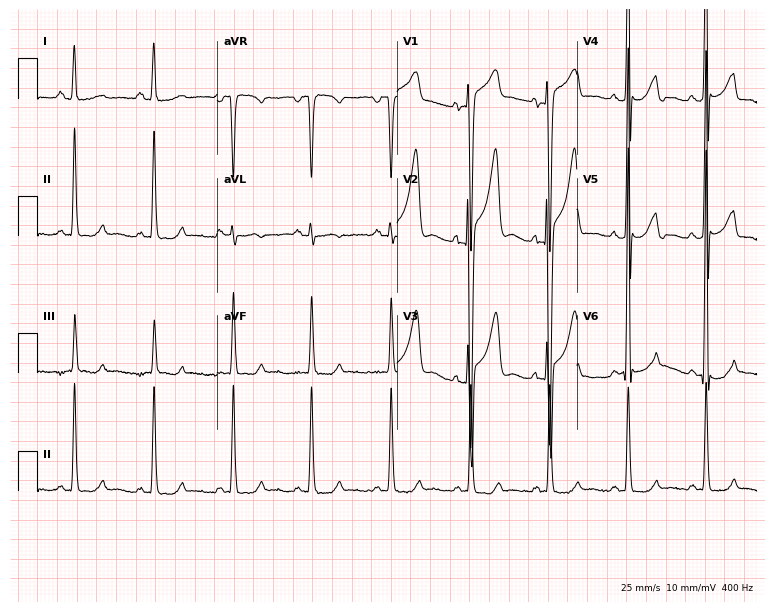
ECG (7.3-second recording at 400 Hz) — a 25-year-old man. Screened for six findings — first-degree AV block, right bundle branch block, left bundle branch block, sinus bradycardia, atrial fibrillation, sinus tachycardia — none is recorded. Other findings, if any, are not listed.